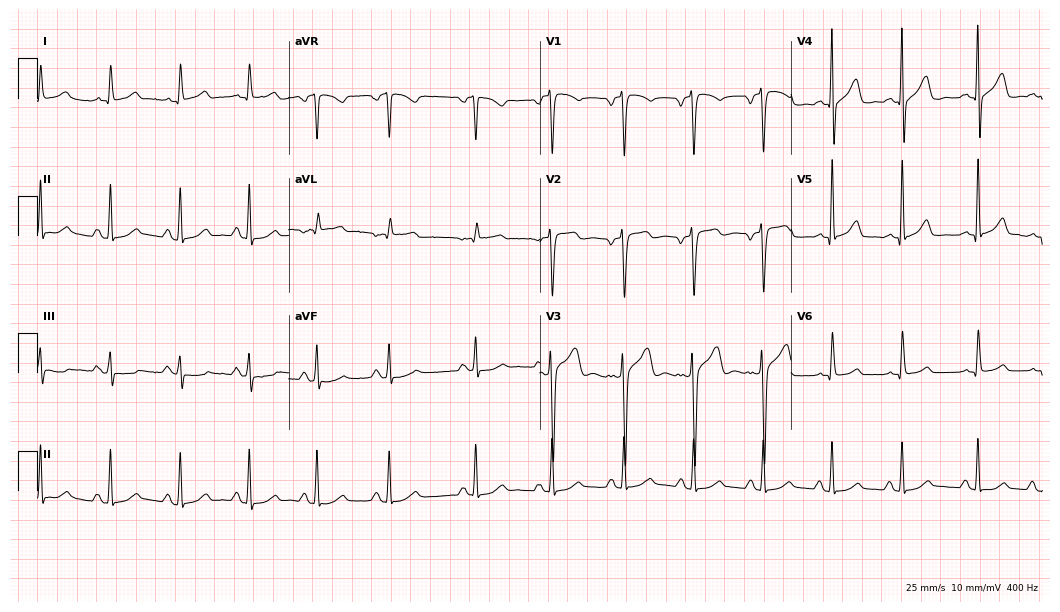
Resting 12-lead electrocardiogram. Patient: a 28-year-old male. None of these six findings is recorded: first-degree AV block, right bundle branch block, left bundle branch block, sinus bradycardia, atrial fibrillation, sinus tachycardia.